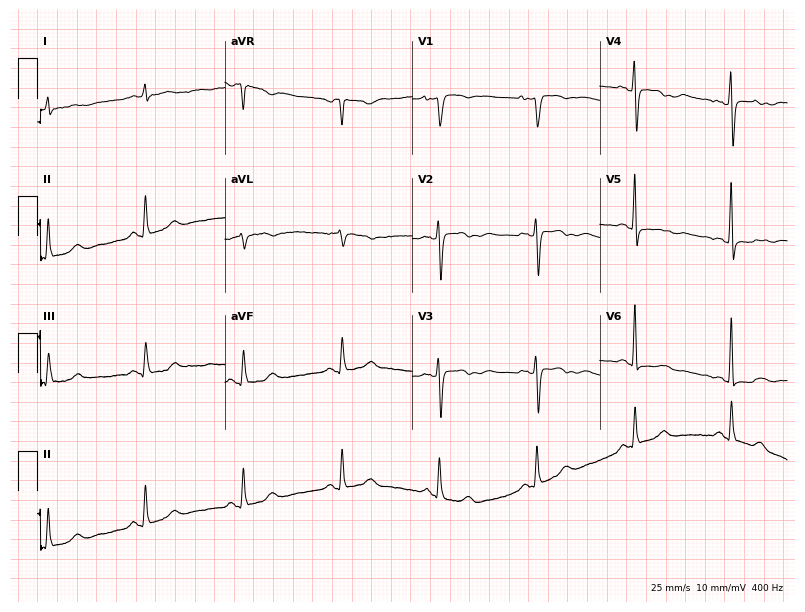
ECG — a 70-year-old woman. Screened for six findings — first-degree AV block, right bundle branch block, left bundle branch block, sinus bradycardia, atrial fibrillation, sinus tachycardia — none is recorded. Only these six findings were labelled.